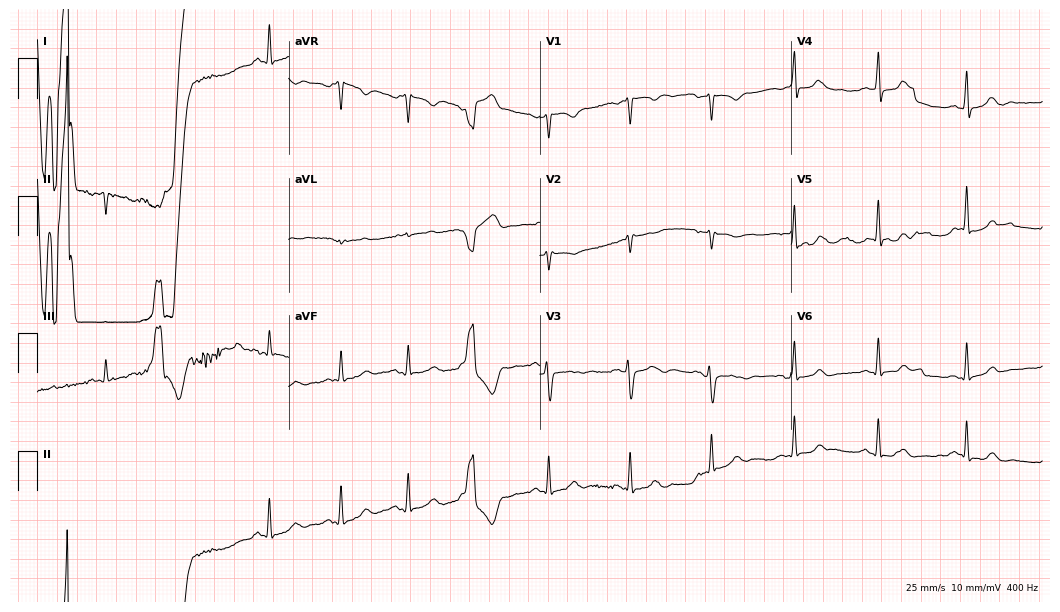
Standard 12-lead ECG recorded from a female, 42 years old. Read as a normal ECG.